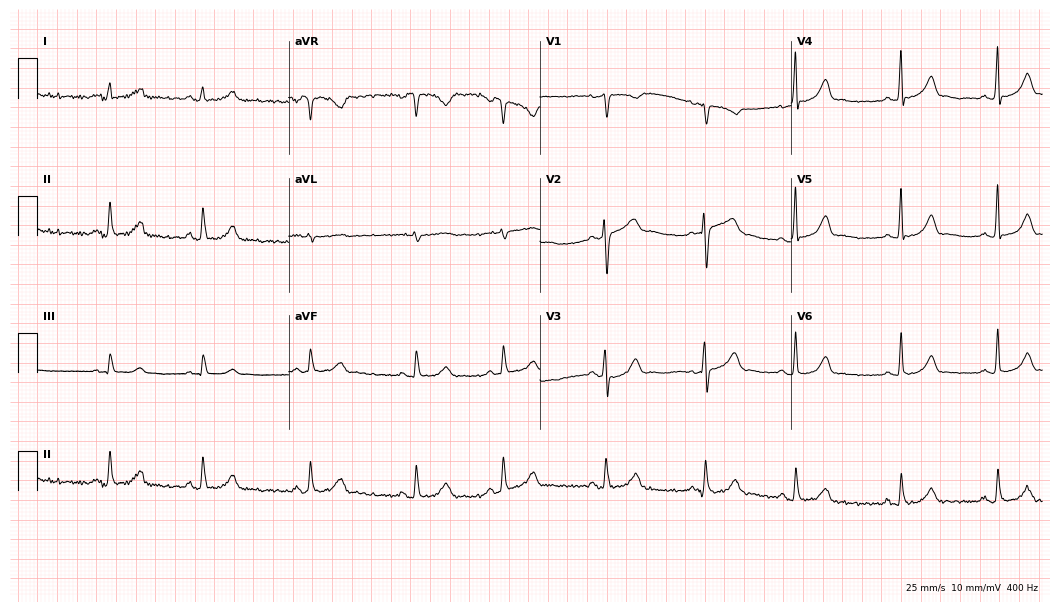
ECG — a 21-year-old woman. Screened for six findings — first-degree AV block, right bundle branch block (RBBB), left bundle branch block (LBBB), sinus bradycardia, atrial fibrillation (AF), sinus tachycardia — none is recorded. Findings outside these six are not listed.